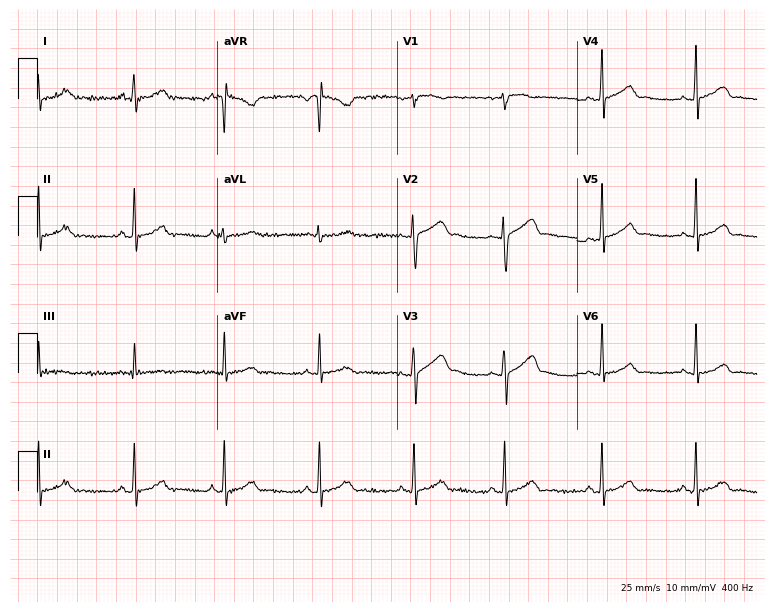
12-lead ECG from a 27-year-old female. Recorded interpretation: within normal limits.